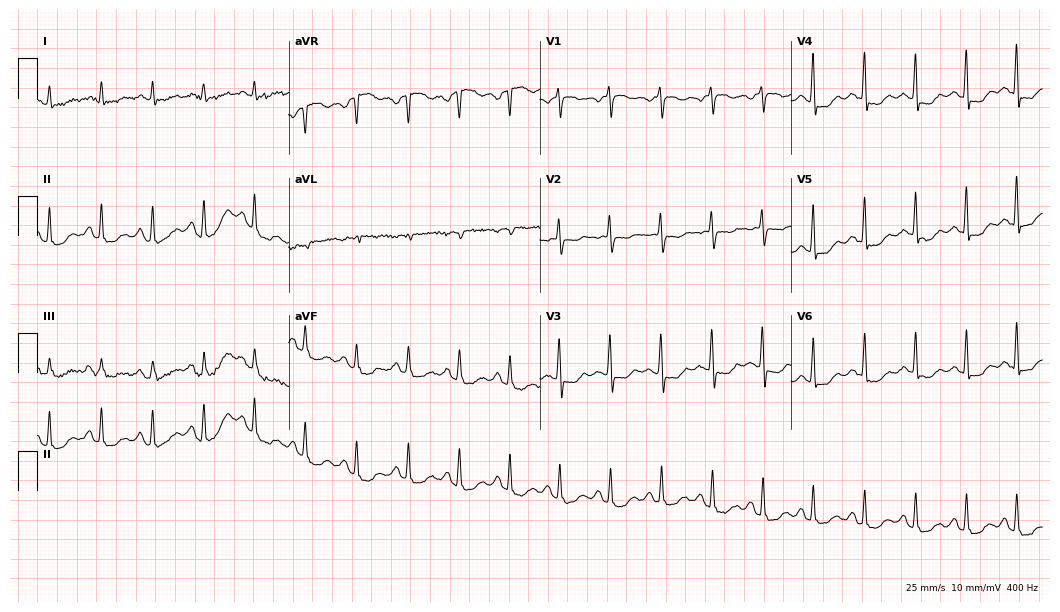
Electrocardiogram (10.2-second recording at 400 Hz), a 66-year-old woman. Interpretation includes sinus tachycardia (a sinus rate of 100 beats per minute or more).